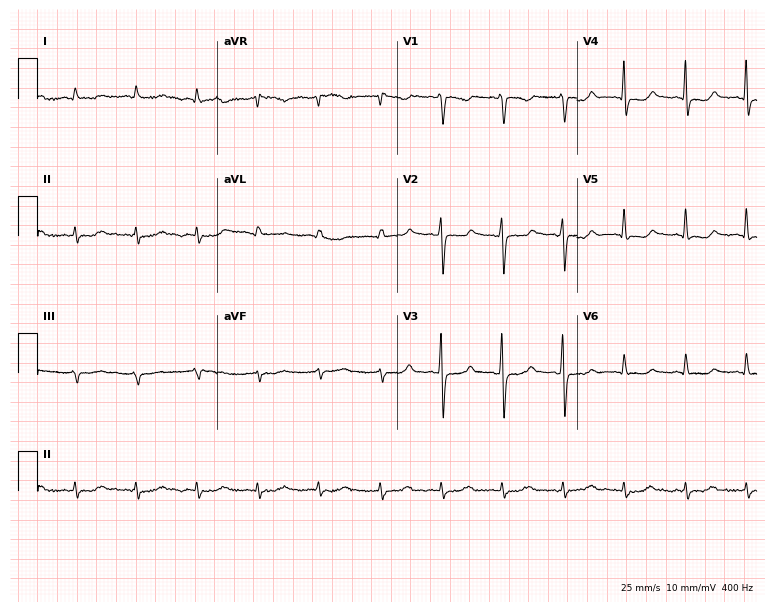
Electrocardiogram (7.3-second recording at 400 Hz), a 65-year-old man. Of the six screened findings (first-degree AV block, right bundle branch block, left bundle branch block, sinus bradycardia, atrial fibrillation, sinus tachycardia), none is recorded.